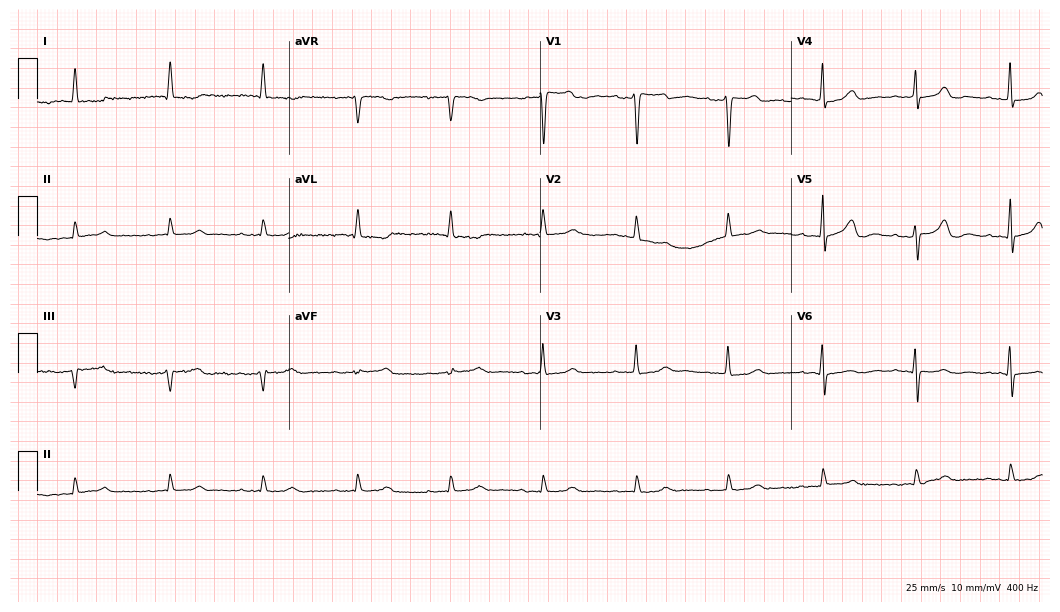
12-lead ECG from a male, 83 years old (10.2-second recording at 400 Hz). Shows first-degree AV block.